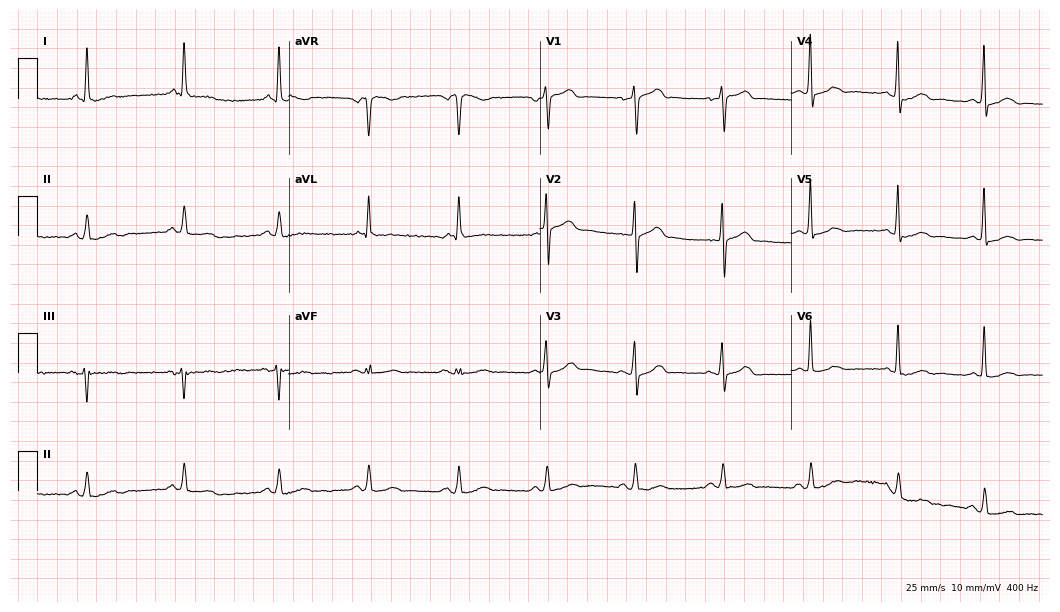
12-lead ECG from a 67-year-old man. Labelled as a normal ECG.